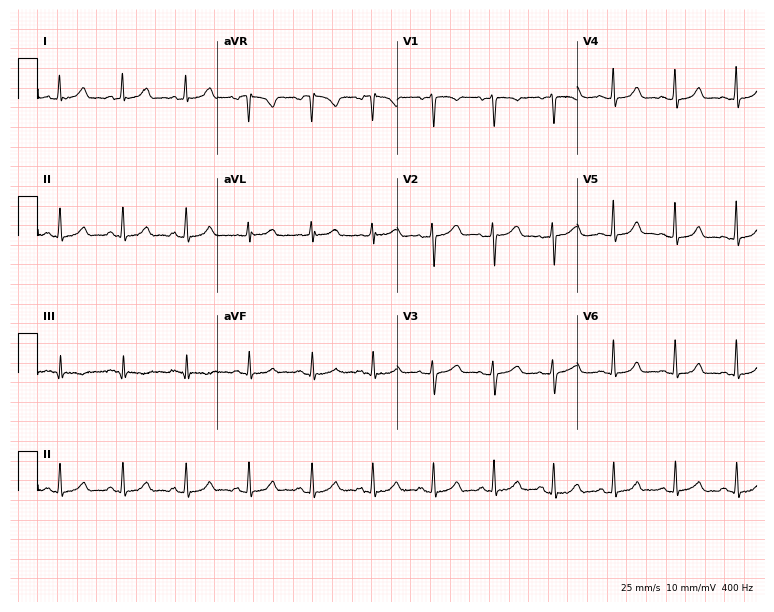
ECG (7.3-second recording at 400 Hz) — a 42-year-old female patient. Labelled as a normal ECG.